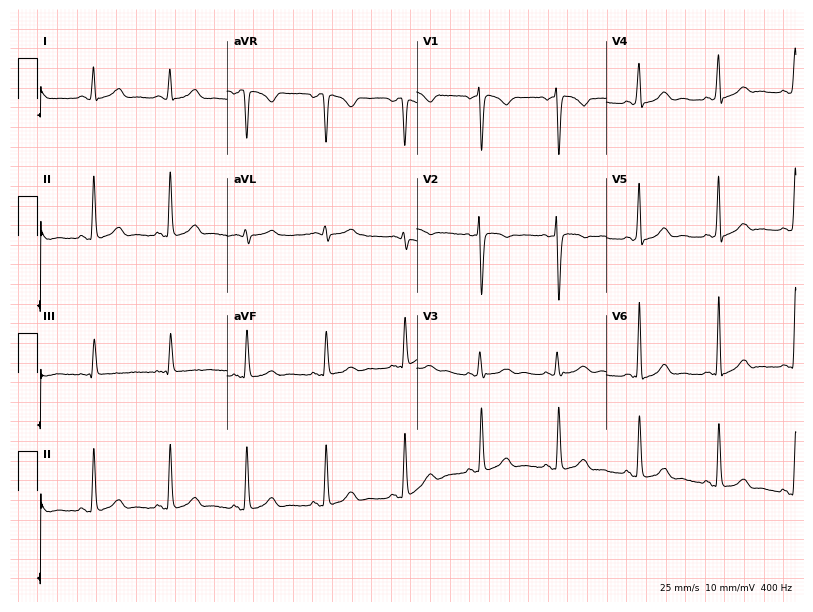
Standard 12-lead ECG recorded from a woman, 36 years old. Read as a normal ECG.